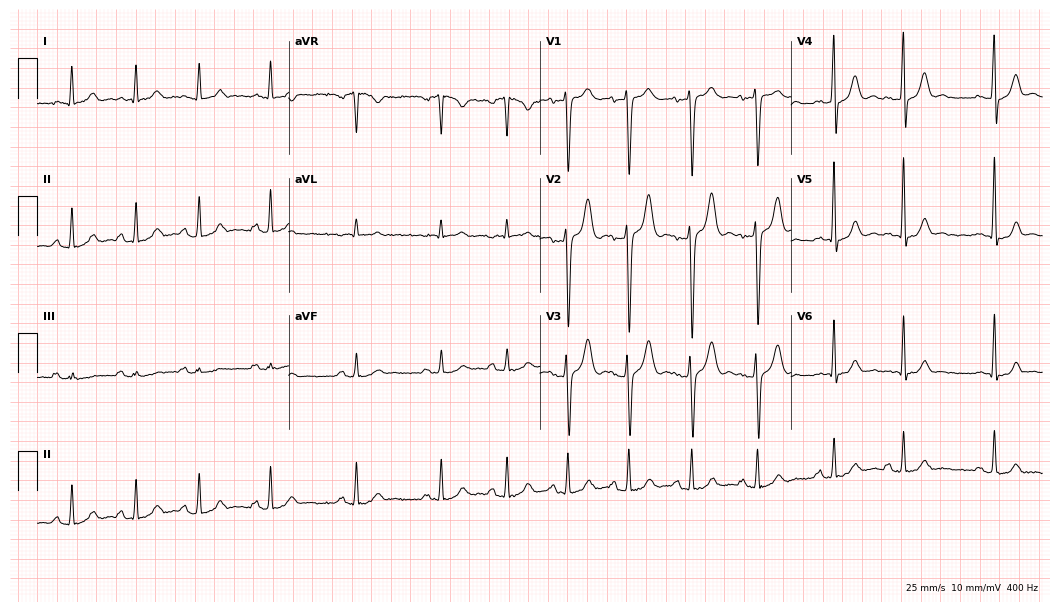
Resting 12-lead electrocardiogram. Patient: a 26-year-old man. Read as a normal ECG.